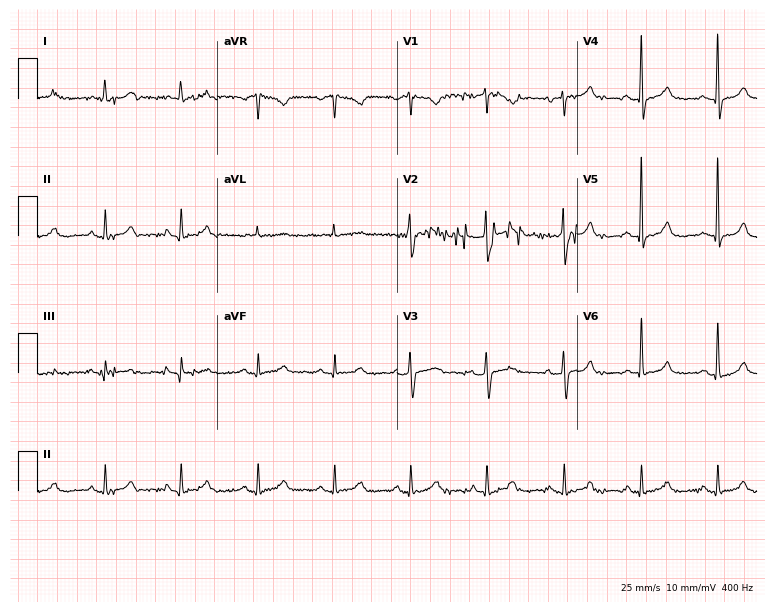
12-lead ECG from a male, 83 years old. Recorded interpretation: within normal limits.